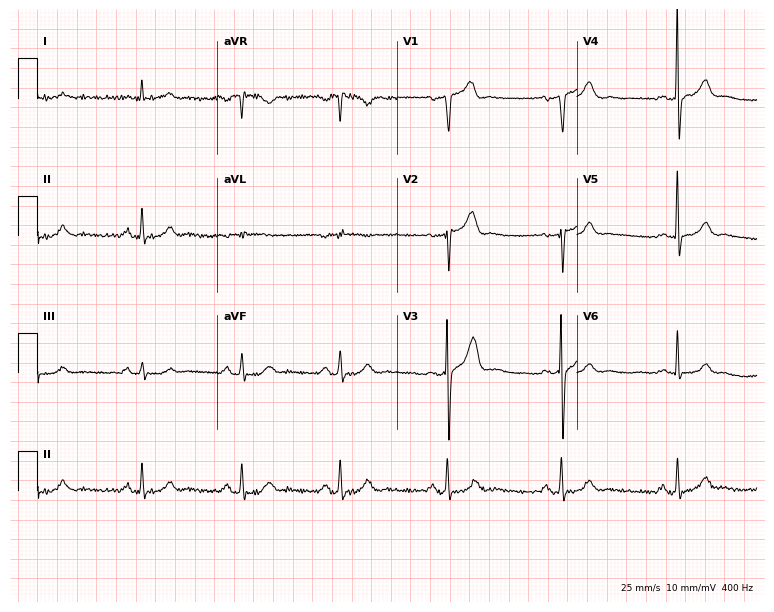
Standard 12-lead ECG recorded from a 48-year-old male patient (7.3-second recording at 400 Hz). None of these six findings is recorded: first-degree AV block, right bundle branch block (RBBB), left bundle branch block (LBBB), sinus bradycardia, atrial fibrillation (AF), sinus tachycardia.